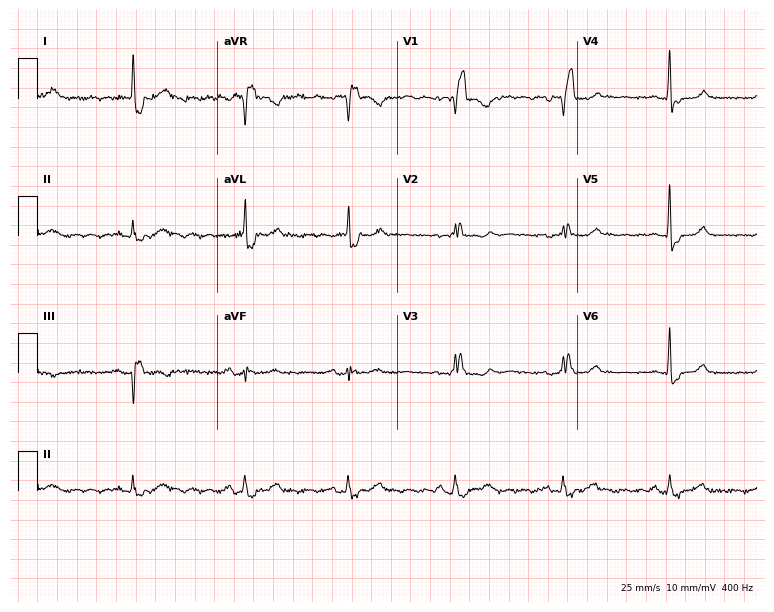
ECG (7.3-second recording at 400 Hz) — a female, 66 years old. Screened for six findings — first-degree AV block, right bundle branch block, left bundle branch block, sinus bradycardia, atrial fibrillation, sinus tachycardia — none is recorded. Findings outside these six are not listed.